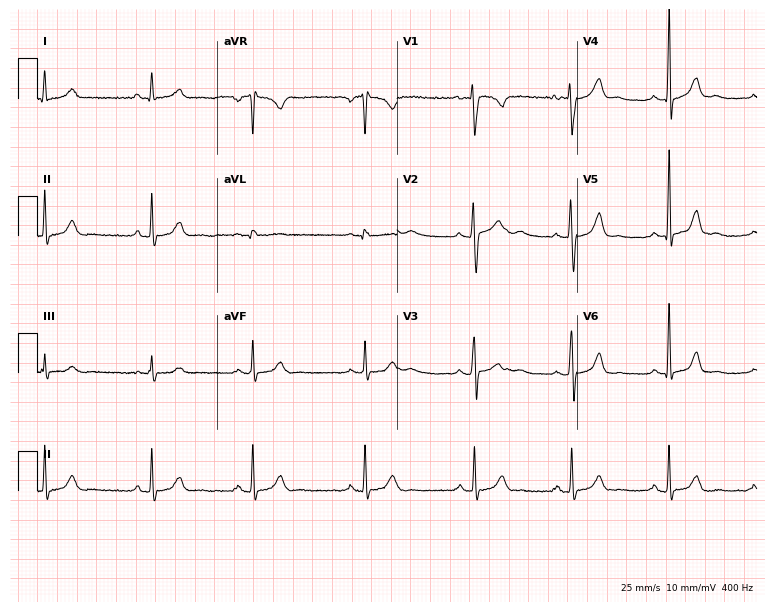
Electrocardiogram (7.3-second recording at 400 Hz), a 32-year-old woman. Overall reading on record: normal ECG.